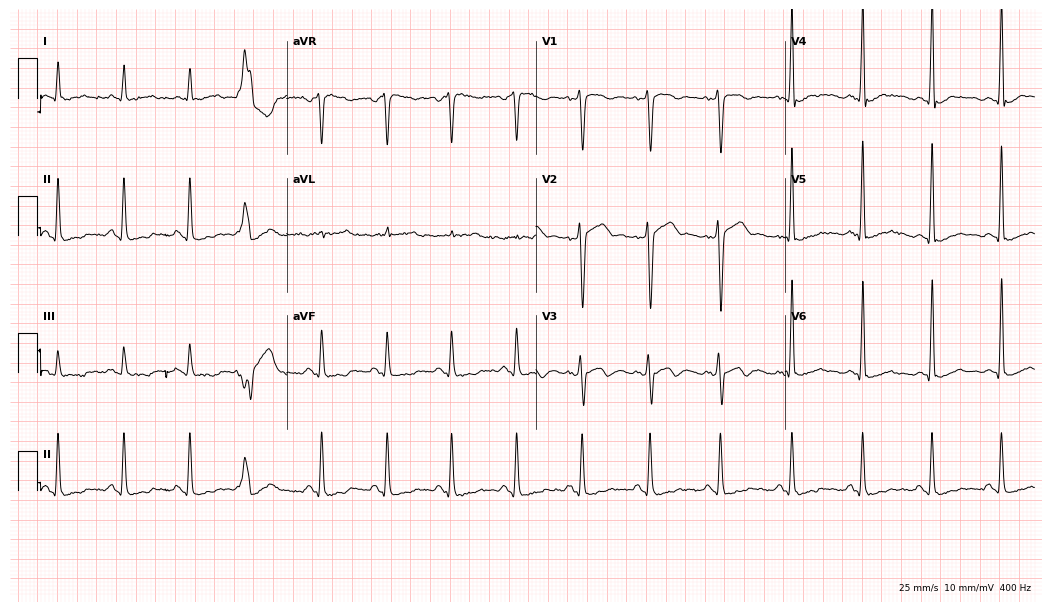
Resting 12-lead electrocardiogram (10.2-second recording at 400 Hz). Patient: a male, 59 years old. None of these six findings is recorded: first-degree AV block, right bundle branch block (RBBB), left bundle branch block (LBBB), sinus bradycardia, atrial fibrillation (AF), sinus tachycardia. Other findings, if any, are not listed.